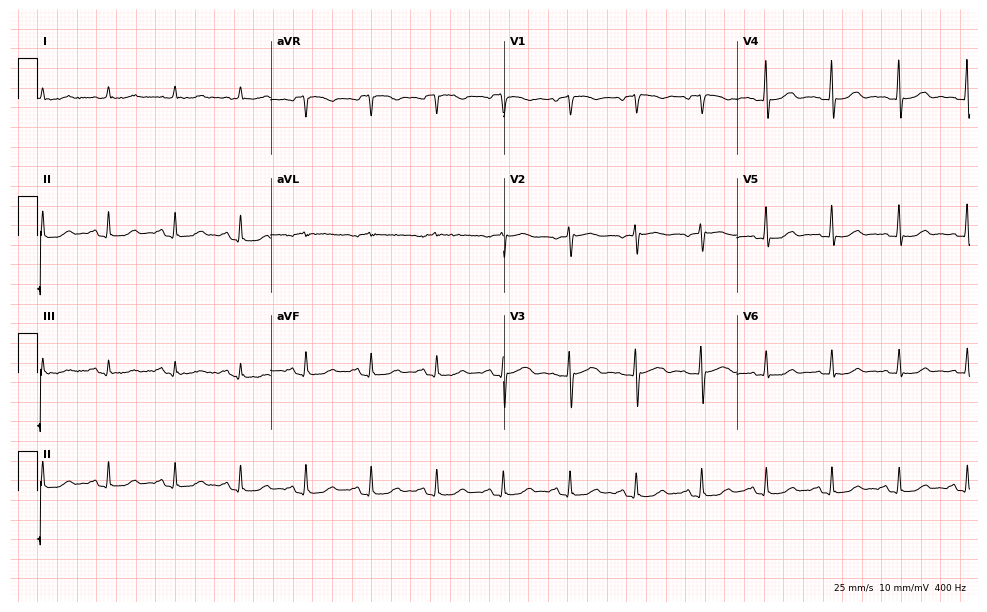
12-lead ECG from a 74-year-old female. Labelled as a normal ECG.